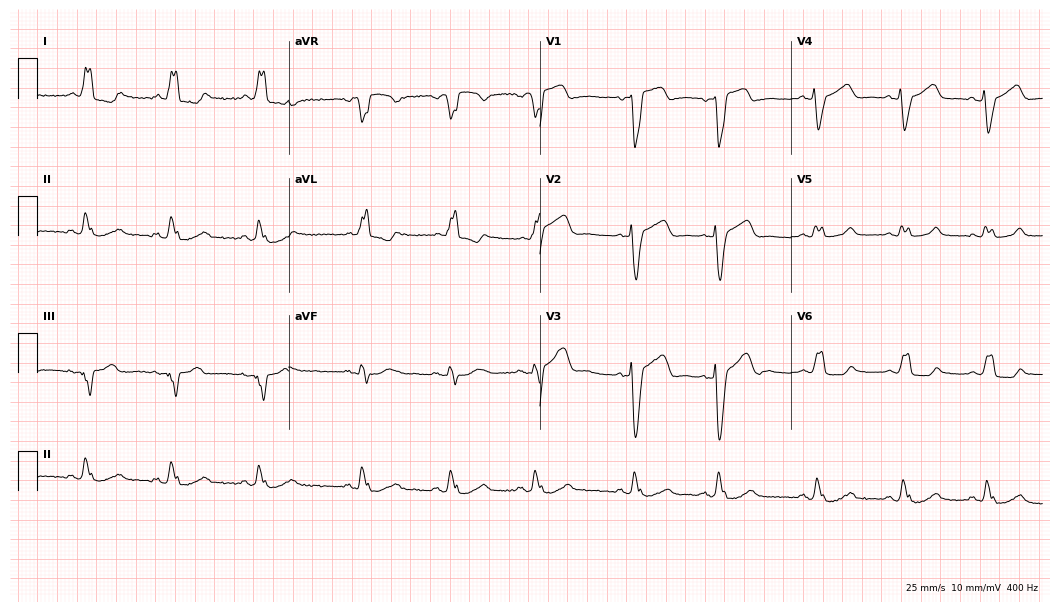
Resting 12-lead electrocardiogram. Patient: a 76-year-old woman. None of these six findings is recorded: first-degree AV block, right bundle branch block, left bundle branch block, sinus bradycardia, atrial fibrillation, sinus tachycardia.